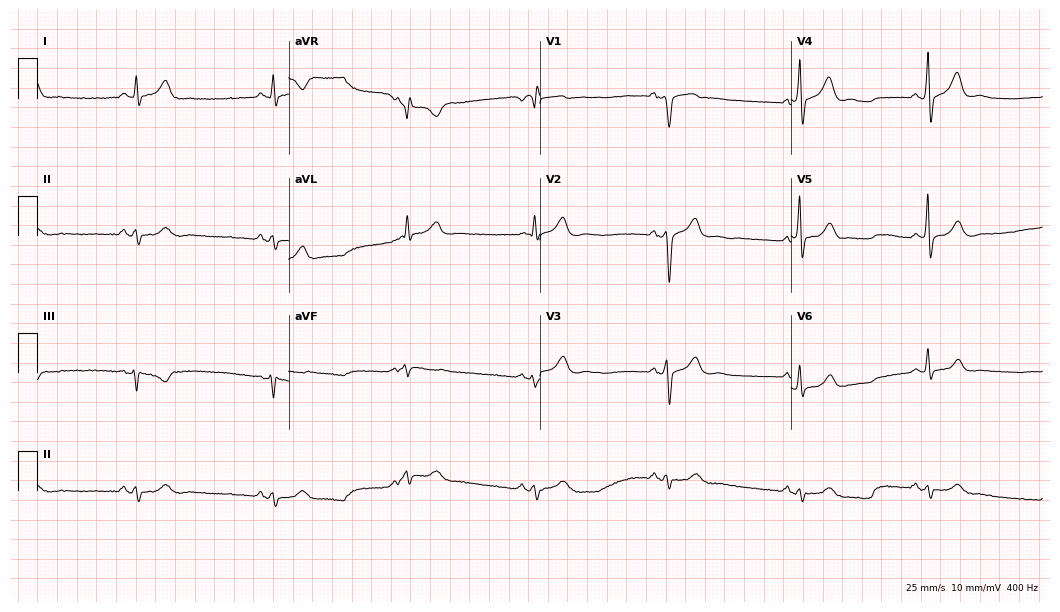
Standard 12-lead ECG recorded from a 66-year-old man (10.2-second recording at 400 Hz). The tracing shows sinus bradycardia (a sinus rate of 50 beats per minute or less).